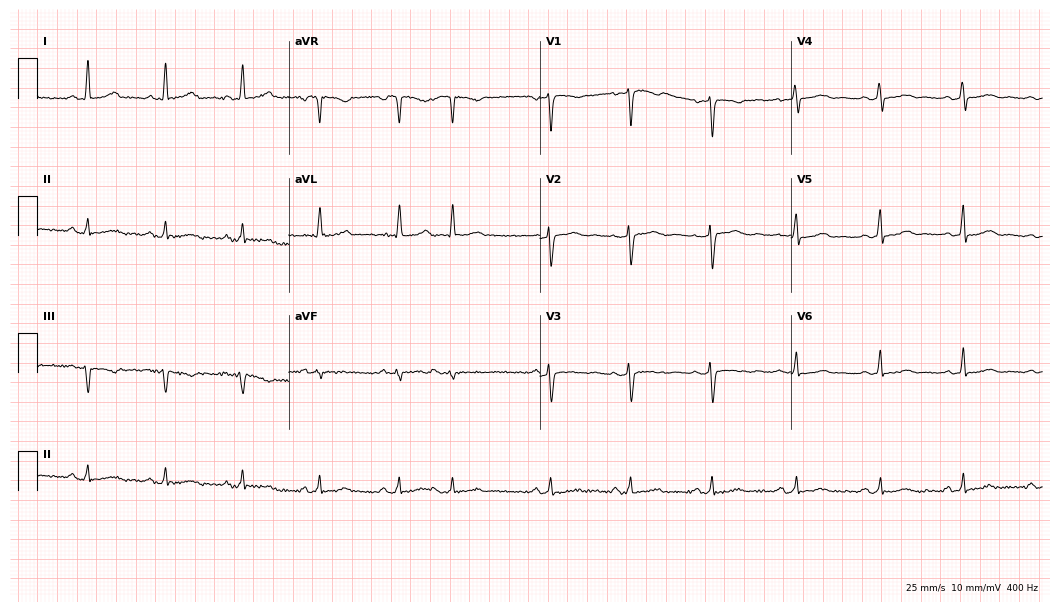
Electrocardiogram, a female patient, 42 years old. Overall reading on record: normal ECG.